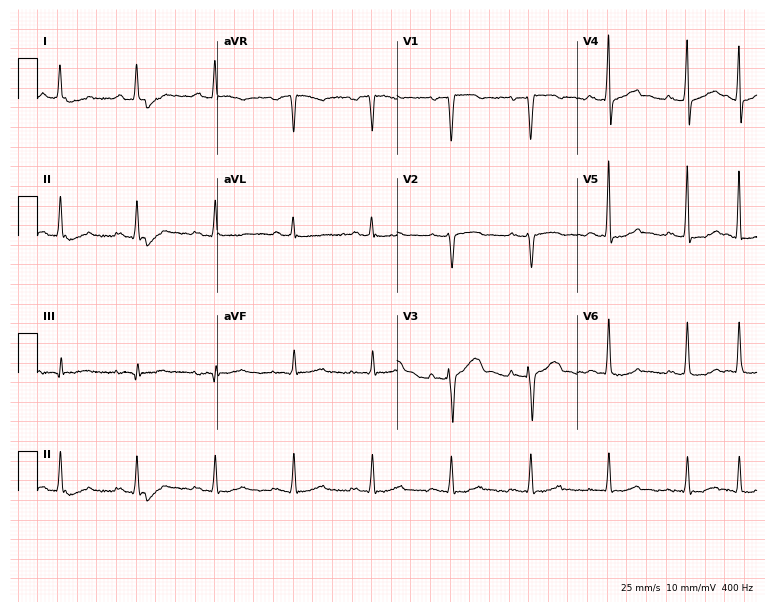
12-lead ECG from a 58-year-old man (7.3-second recording at 400 Hz). Recorded interpretation: within normal limits.